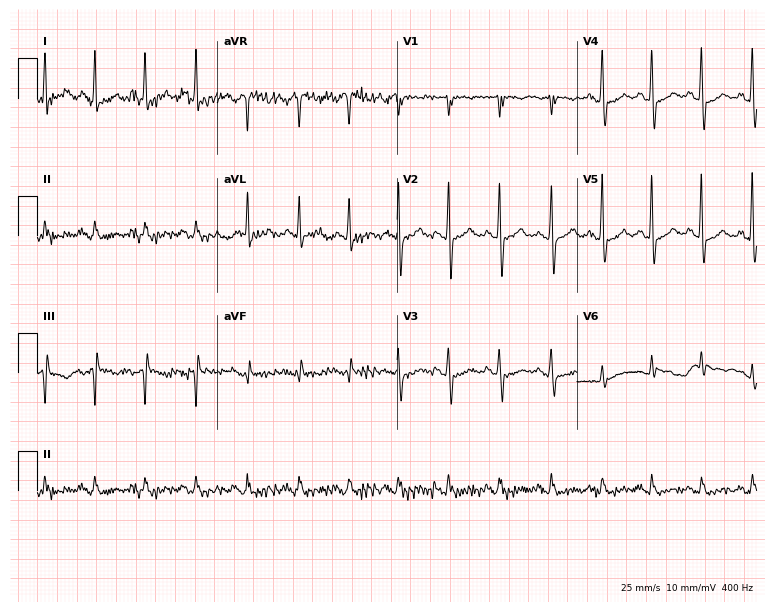
Standard 12-lead ECG recorded from a male patient, 74 years old. The tracing shows sinus tachycardia (a sinus rate of 100 beats per minute or more).